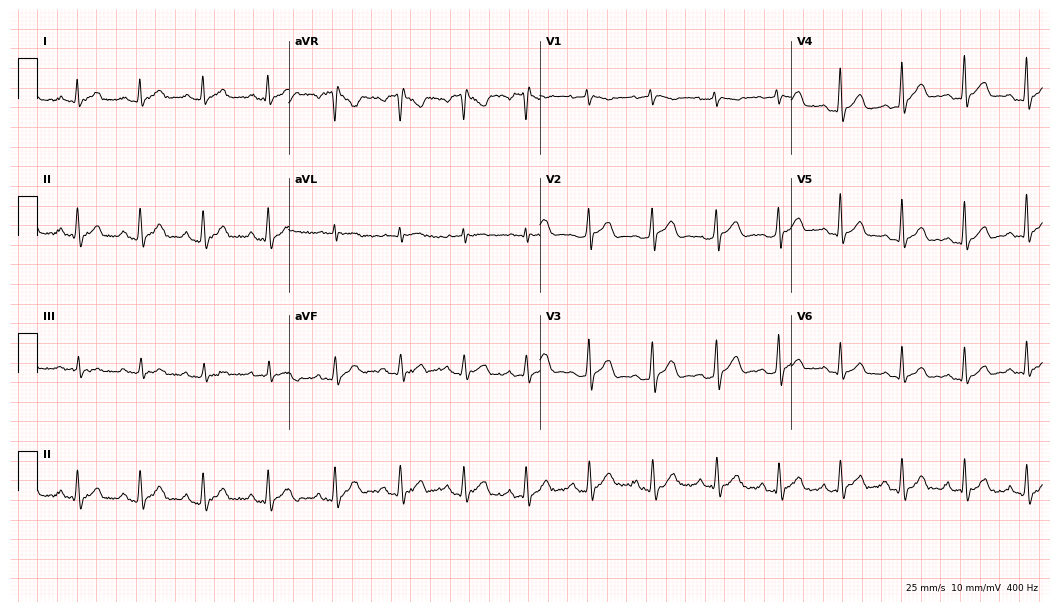
ECG (10.2-second recording at 400 Hz) — a 30-year-old male. Labelled as a normal ECG.